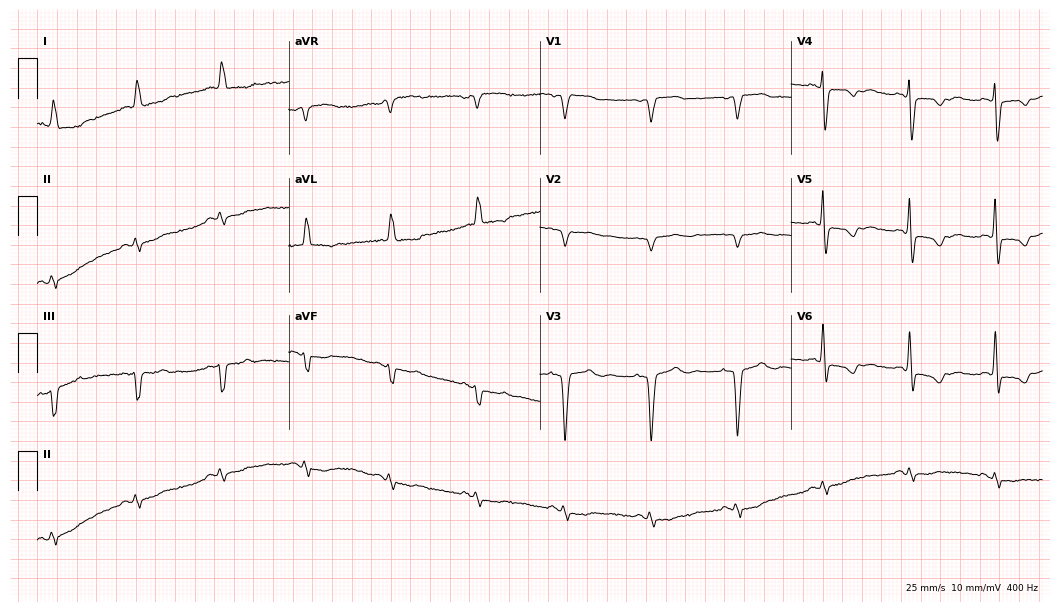
ECG — a female, 77 years old. Screened for six findings — first-degree AV block, right bundle branch block, left bundle branch block, sinus bradycardia, atrial fibrillation, sinus tachycardia — none is recorded. Findings outside these six are not listed.